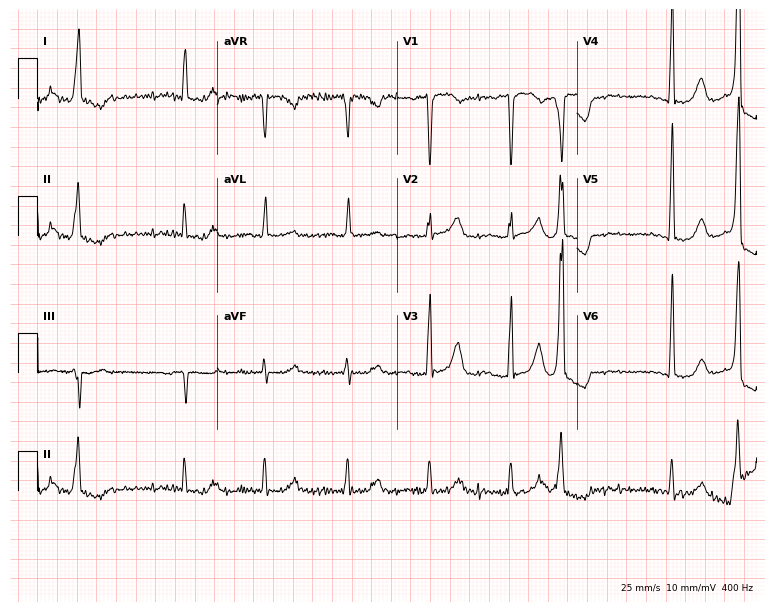
ECG (7.3-second recording at 400 Hz) — an 85-year-old female. Screened for six findings — first-degree AV block, right bundle branch block (RBBB), left bundle branch block (LBBB), sinus bradycardia, atrial fibrillation (AF), sinus tachycardia — none is recorded. Other findings, if any, are not listed.